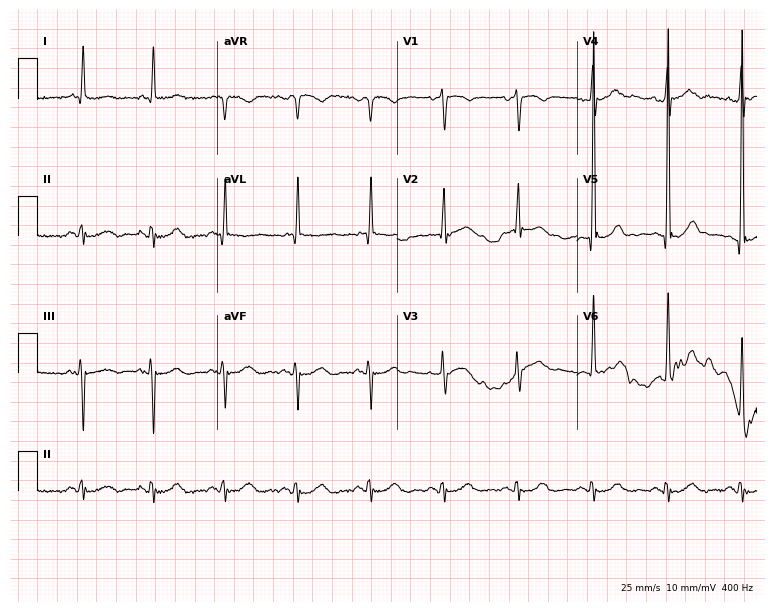
Electrocardiogram, an 82-year-old man. Of the six screened findings (first-degree AV block, right bundle branch block (RBBB), left bundle branch block (LBBB), sinus bradycardia, atrial fibrillation (AF), sinus tachycardia), none is recorded. Other findings, if any, are not listed.